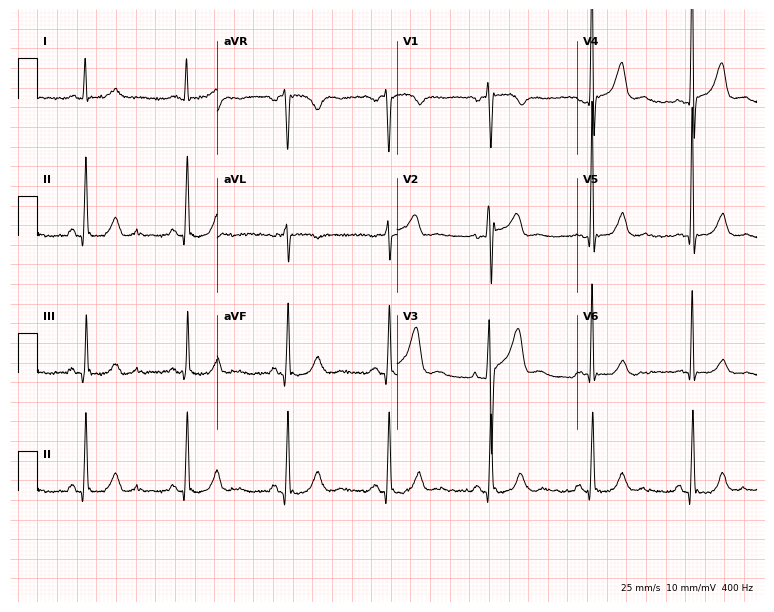
Resting 12-lead electrocardiogram. Patient: a male, 59 years old. None of these six findings is recorded: first-degree AV block, right bundle branch block (RBBB), left bundle branch block (LBBB), sinus bradycardia, atrial fibrillation (AF), sinus tachycardia.